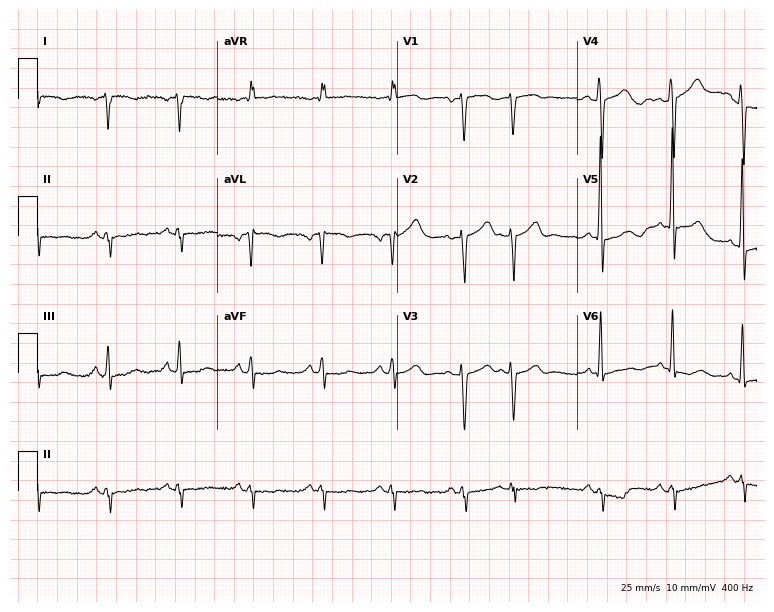
Electrocardiogram (7.3-second recording at 400 Hz), a male, 71 years old. Of the six screened findings (first-degree AV block, right bundle branch block, left bundle branch block, sinus bradycardia, atrial fibrillation, sinus tachycardia), none is recorded. Other findings, if any, are not listed.